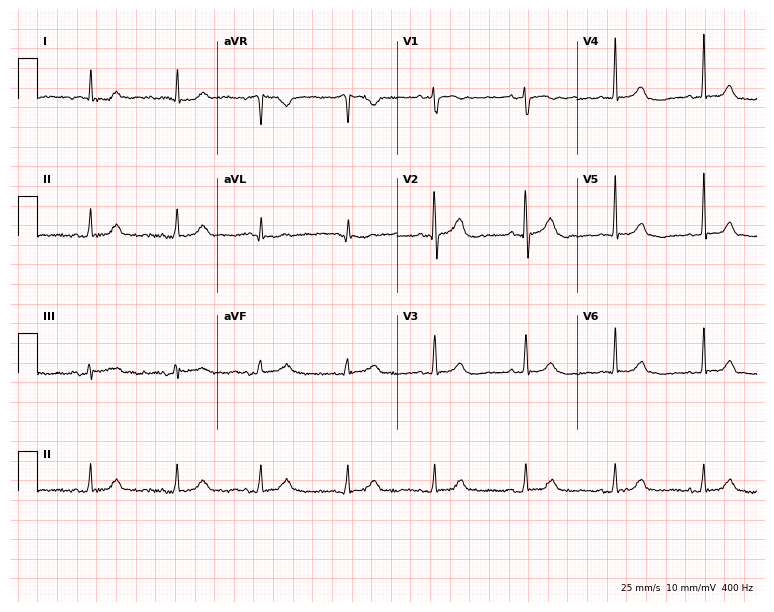
Electrocardiogram, an 82-year-old woman. Overall reading on record: normal ECG.